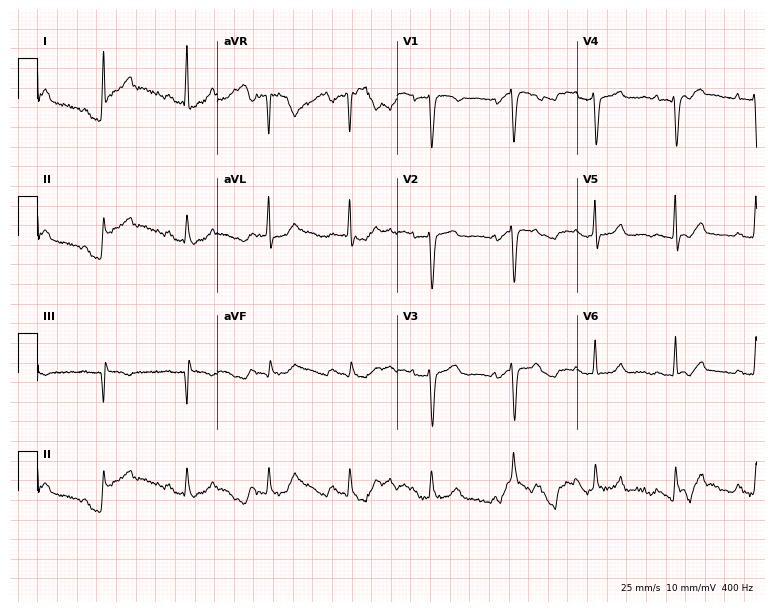
Resting 12-lead electrocardiogram (7.3-second recording at 400 Hz). Patient: a 61-year-old woman. None of these six findings is recorded: first-degree AV block, right bundle branch block, left bundle branch block, sinus bradycardia, atrial fibrillation, sinus tachycardia.